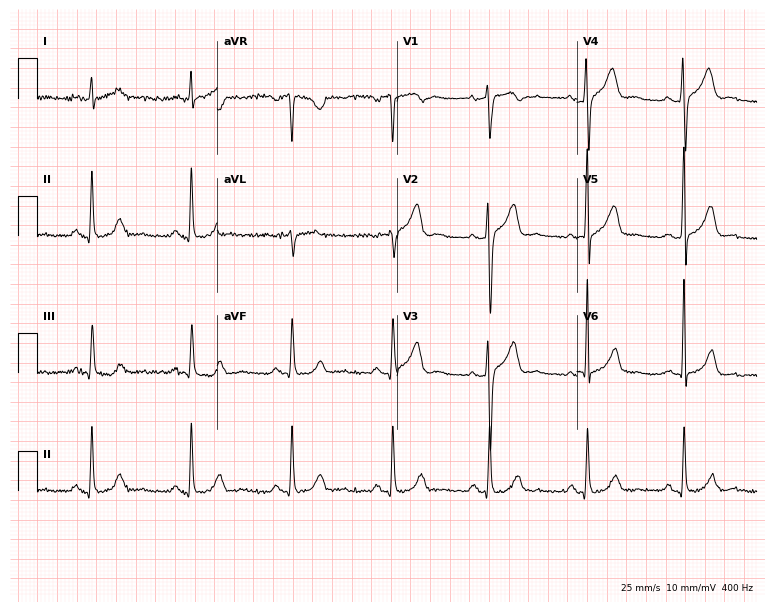
12-lead ECG from a 68-year-old male. No first-degree AV block, right bundle branch block, left bundle branch block, sinus bradycardia, atrial fibrillation or sinus tachycardia recorded for this tracing. Findings outside these six are not listed.